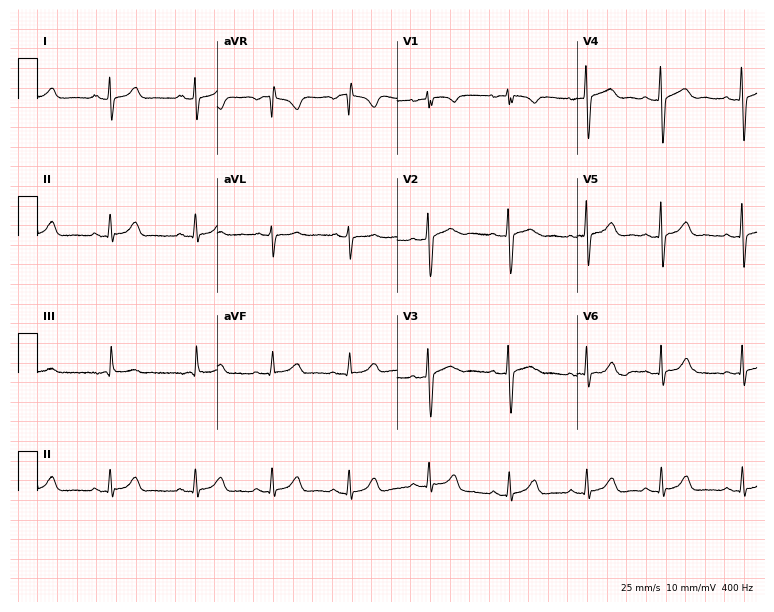
12-lead ECG from a female patient, 21 years old (7.3-second recording at 400 Hz). Recorded interpretation: within normal limits.